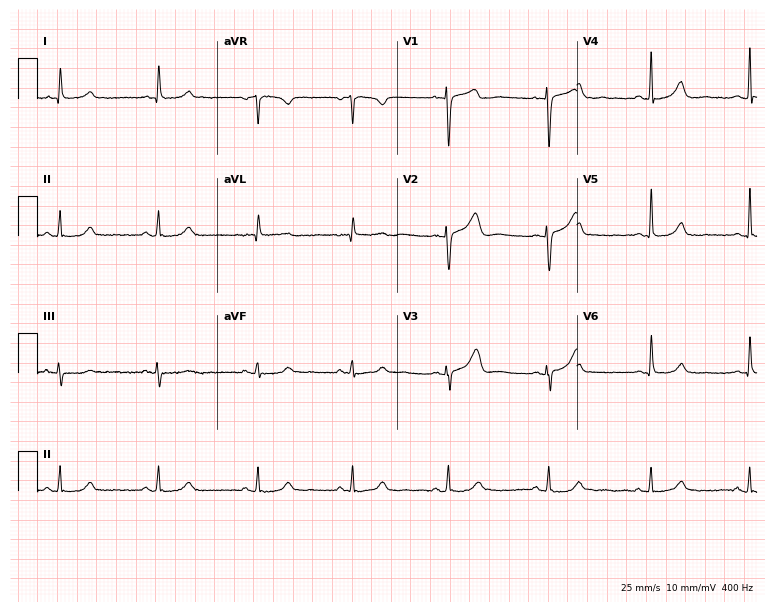
12-lead ECG (7.3-second recording at 400 Hz) from a 56-year-old female patient. Screened for six findings — first-degree AV block, right bundle branch block, left bundle branch block, sinus bradycardia, atrial fibrillation, sinus tachycardia — none is recorded. Only these six findings were labelled.